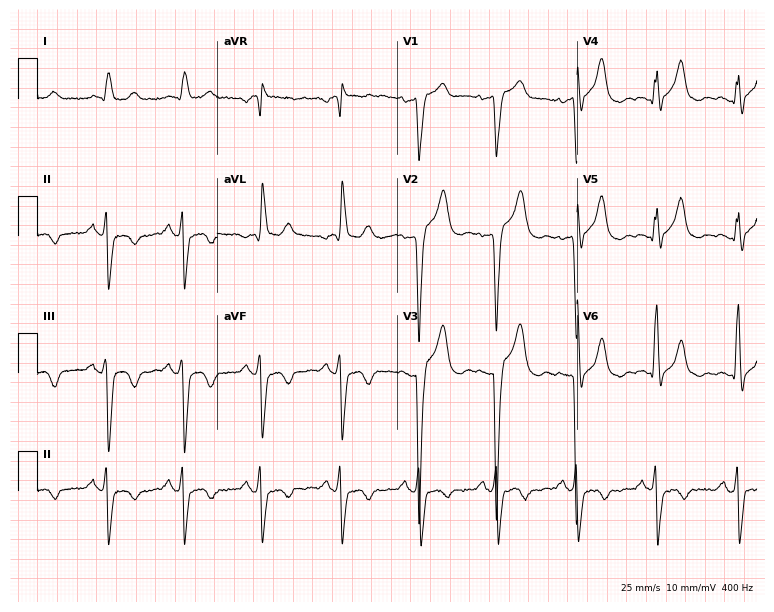
12-lead ECG from an 85-year-old man. No first-degree AV block, right bundle branch block (RBBB), left bundle branch block (LBBB), sinus bradycardia, atrial fibrillation (AF) or sinus tachycardia recorded for this tracing. Other findings, if any, are not listed.